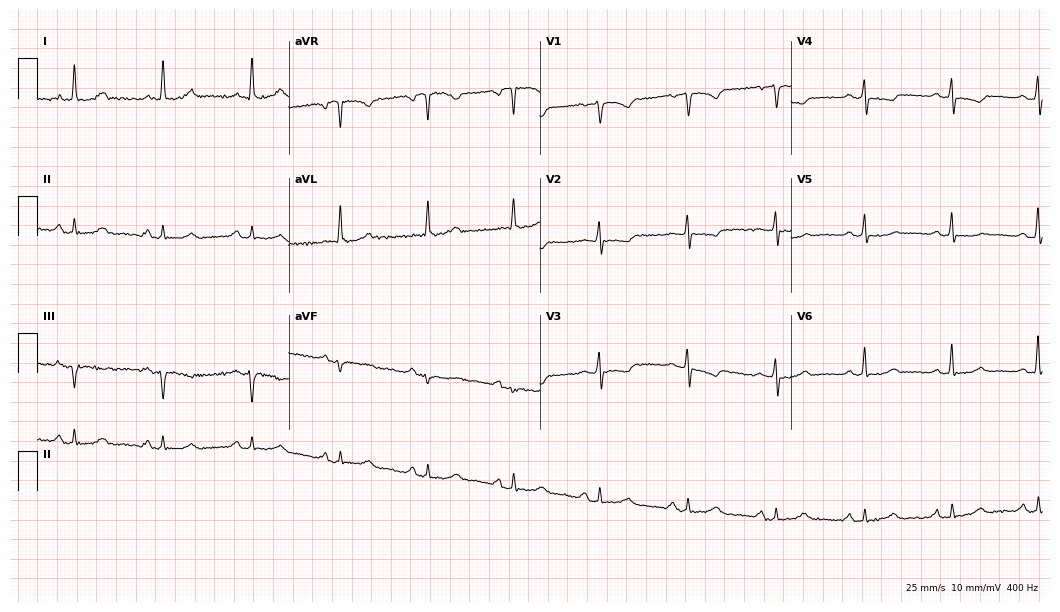
12-lead ECG from a female, 61 years old. Screened for six findings — first-degree AV block, right bundle branch block, left bundle branch block, sinus bradycardia, atrial fibrillation, sinus tachycardia — none is recorded.